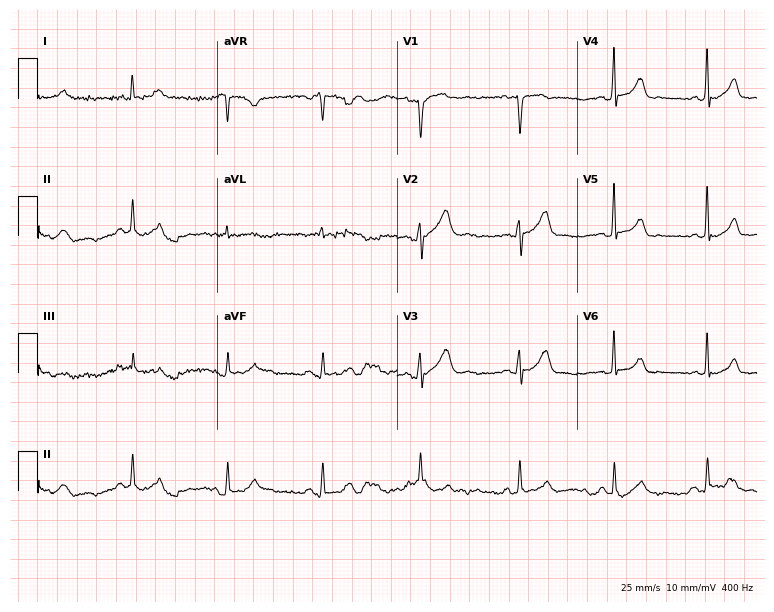
Electrocardiogram (7.3-second recording at 400 Hz), a male, 69 years old. Overall reading on record: normal ECG.